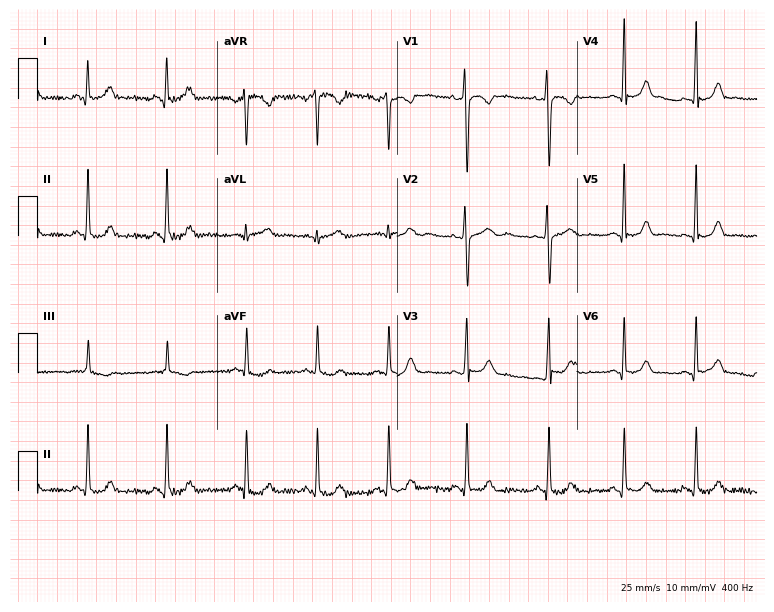
ECG — a 20-year-old woman. Screened for six findings — first-degree AV block, right bundle branch block, left bundle branch block, sinus bradycardia, atrial fibrillation, sinus tachycardia — none is recorded. Other findings, if any, are not listed.